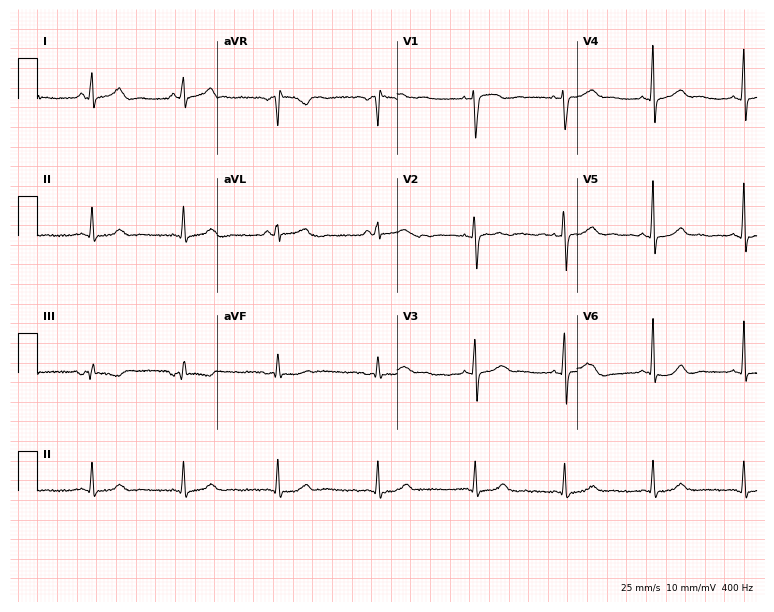
12-lead ECG (7.3-second recording at 400 Hz) from a 42-year-old female. Labelled as a normal ECG.